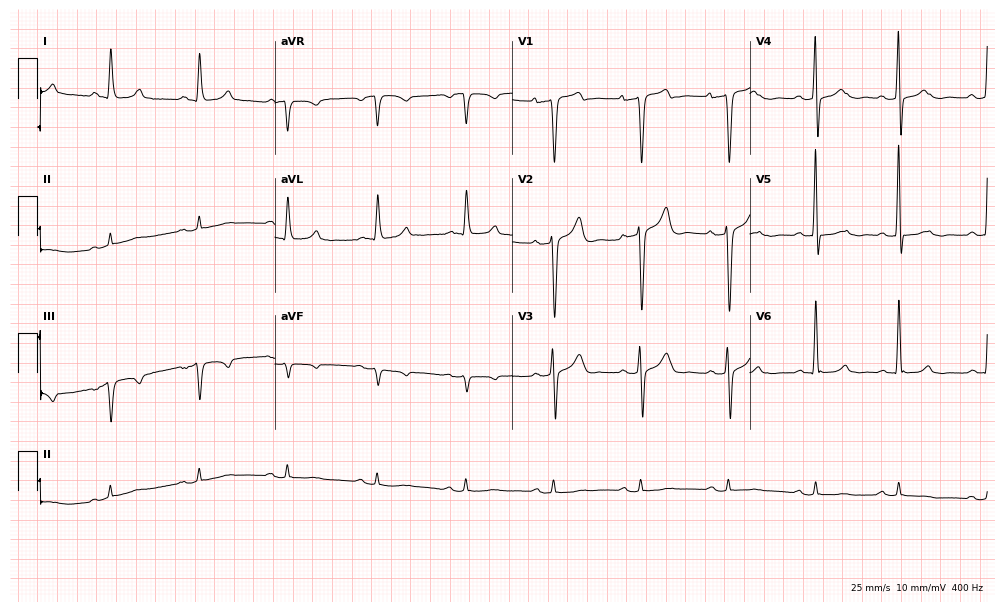
12-lead ECG (9.7-second recording at 400 Hz) from a man, 70 years old. Labelled as a normal ECG.